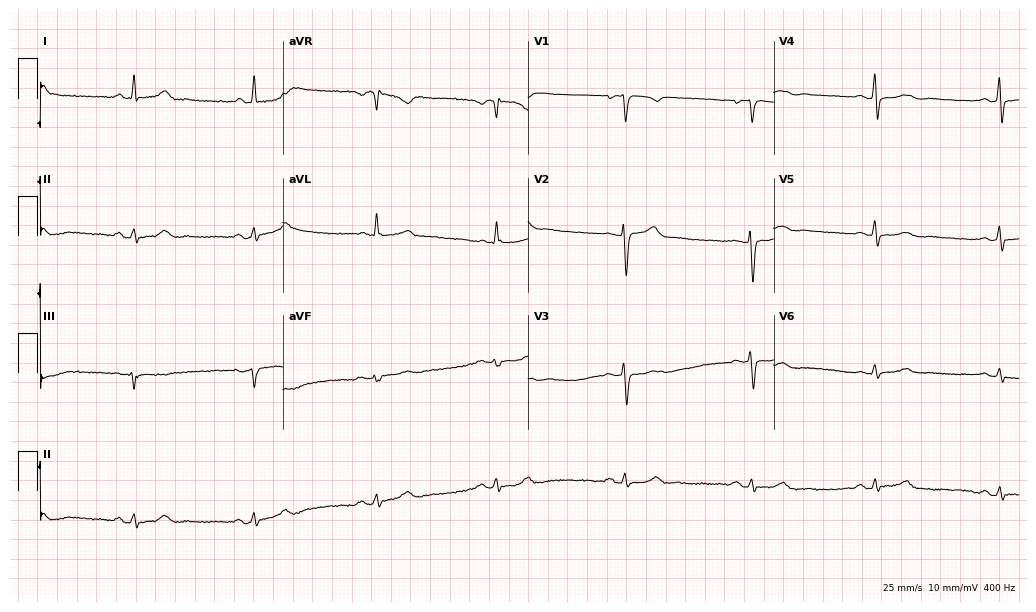
Electrocardiogram (10-second recording at 400 Hz), a woman, 51 years old. Interpretation includes sinus bradycardia (a sinus rate of 50 beats per minute or less).